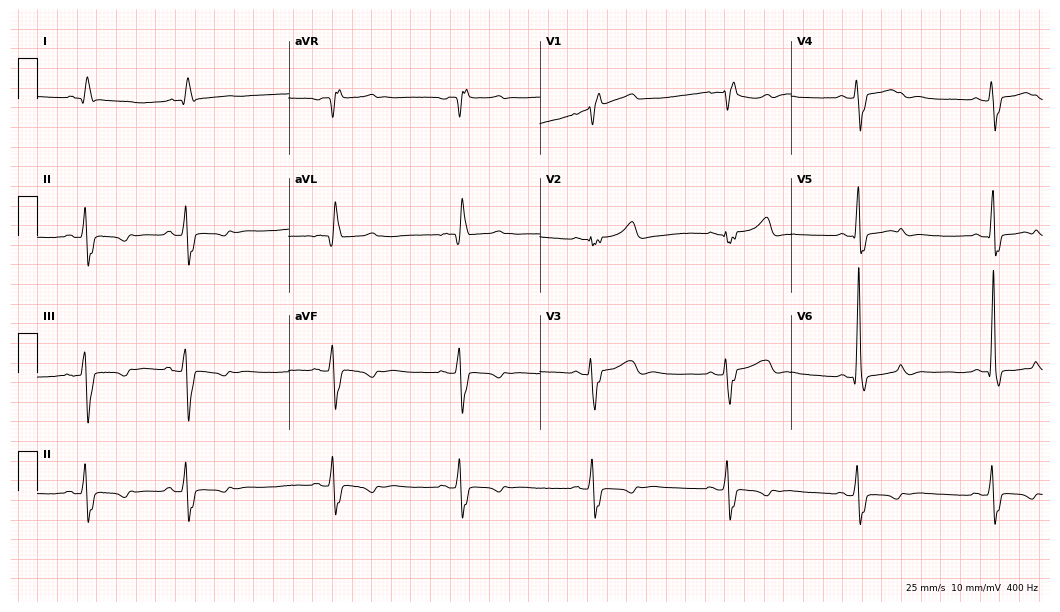
ECG — a 74-year-old female. Screened for six findings — first-degree AV block, right bundle branch block, left bundle branch block, sinus bradycardia, atrial fibrillation, sinus tachycardia — none is recorded.